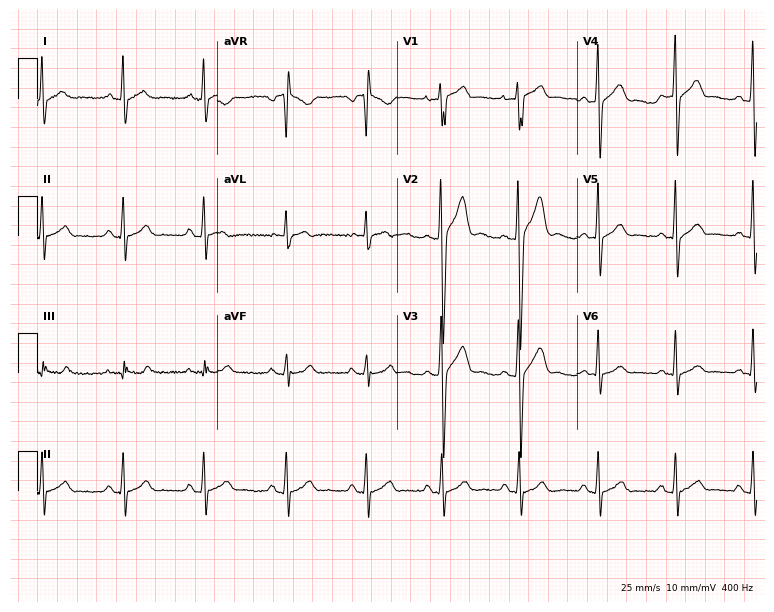
12-lead ECG from a 22-year-old male (7.3-second recording at 400 Hz). Recorded interpretation: within normal limits.